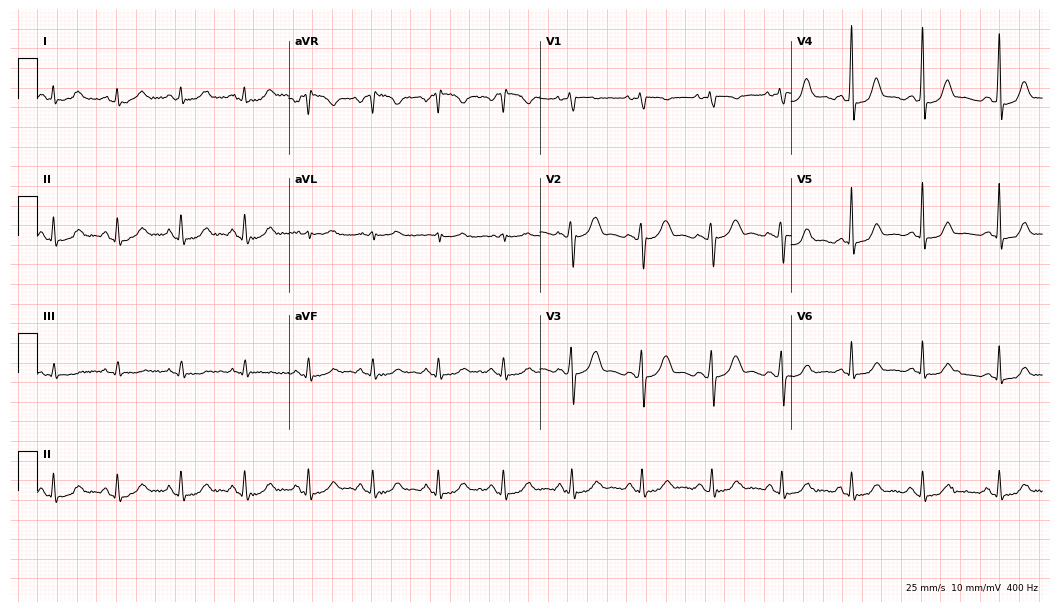
12-lead ECG from a female, 51 years old. Labelled as a normal ECG.